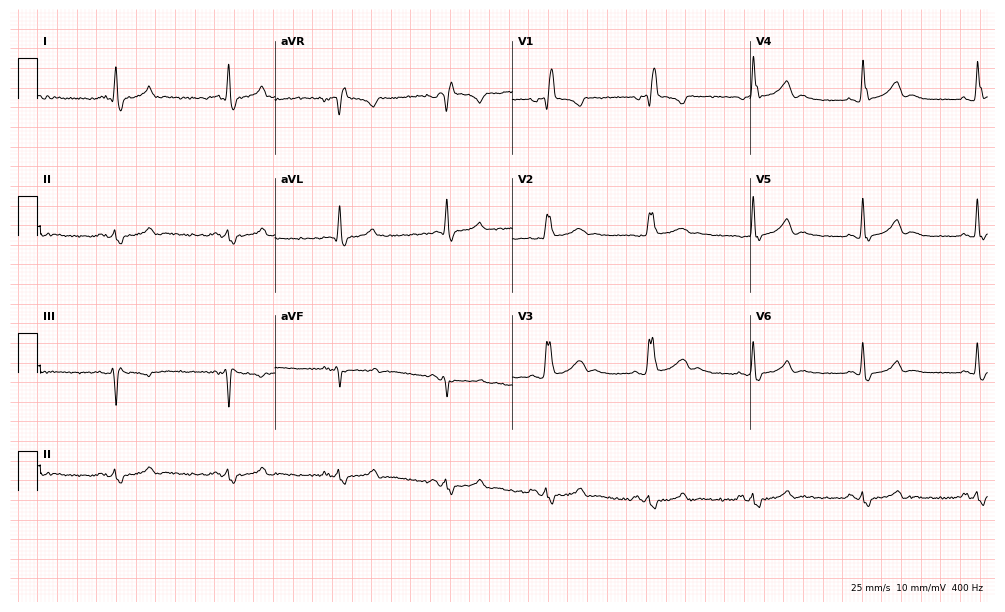
ECG (9.7-second recording at 400 Hz) — a 57-year-old man. Findings include right bundle branch block.